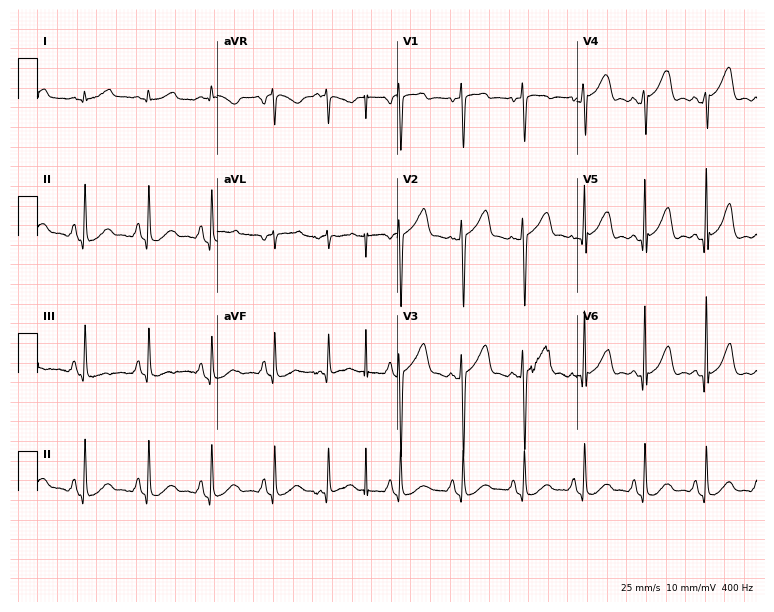
ECG (7.3-second recording at 400 Hz) — a 65-year-old female. Screened for six findings — first-degree AV block, right bundle branch block, left bundle branch block, sinus bradycardia, atrial fibrillation, sinus tachycardia — none is recorded. Only these six findings were labelled.